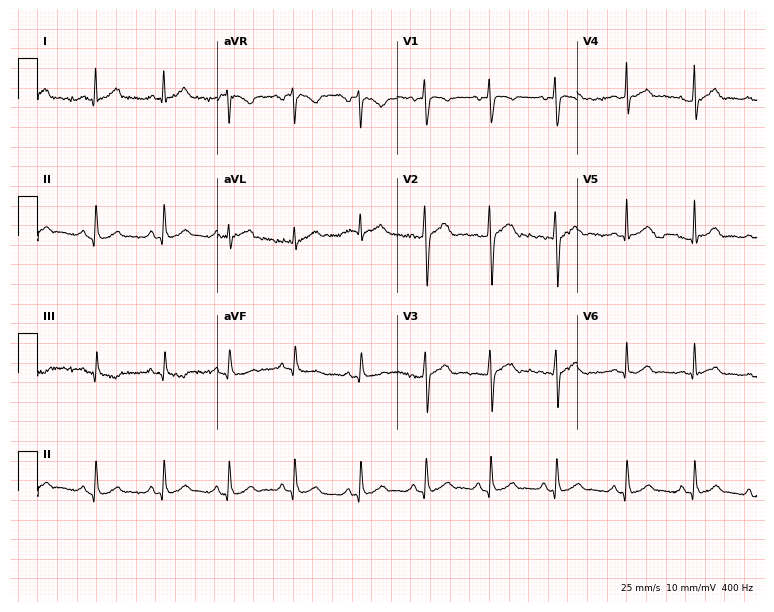
12-lead ECG from a man, 27 years old. No first-degree AV block, right bundle branch block, left bundle branch block, sinus bradycardia, atrial fibrillation or sinus tachycardia recorded for this tracing.